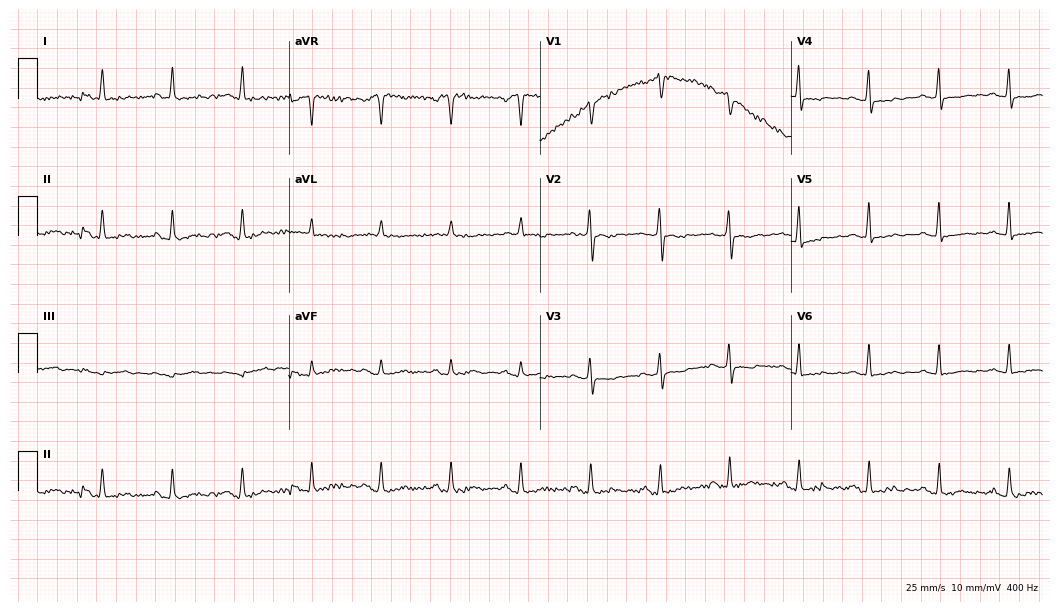
12-lead ECG from a woman, 80 years old (10.2-second recording at 400 Hz). No first-degree AV block, right bundle branch block, left bundle branch block, sinus bradycardia, atrial fibrillation or sinus tachycardia recorded for this tracing.